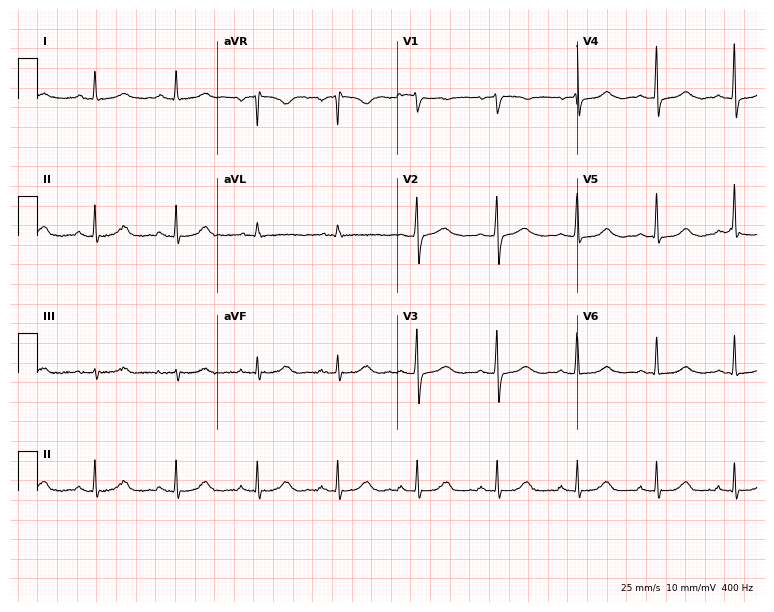
12-lead ECG from a woman, 54 years old (7.3-second recording at 400 Hz). No first-degree AV block, right bundle branch block, left bundle branch block, sinus bradycardia, atrial fibrillation or sinus tachycardia recorded for this tracing.